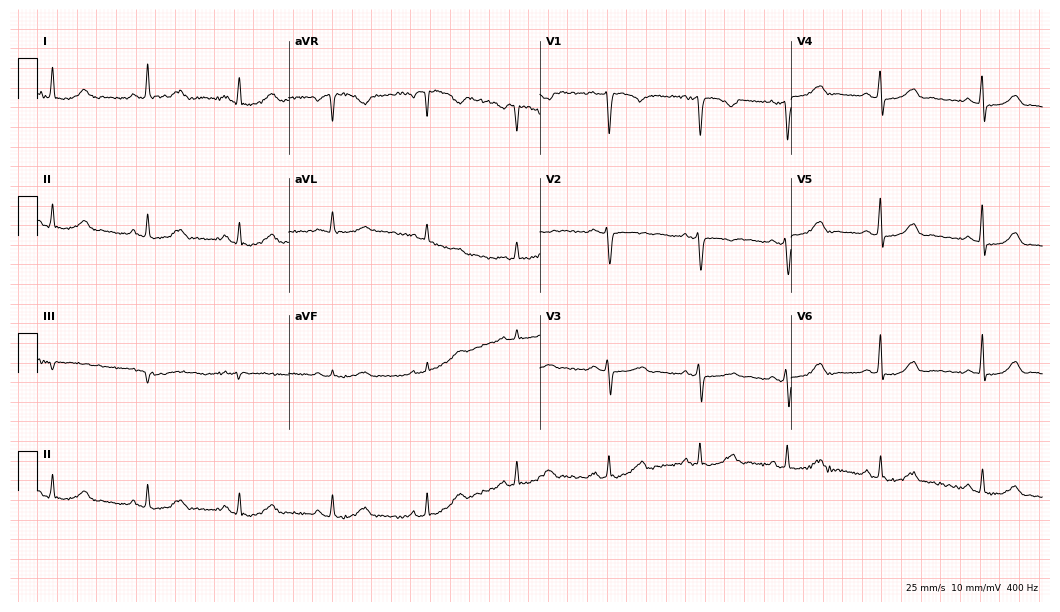
12-lead ECG from a 49-year-old female patient. Labelled as a normal ECG.